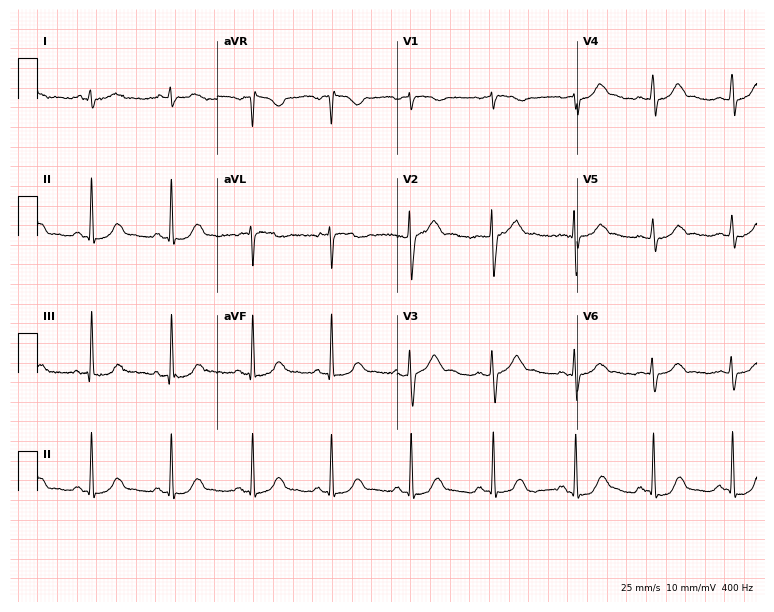
12-lead ECG from a woman, 38 years old. Recorded interpretation: within normal limits.